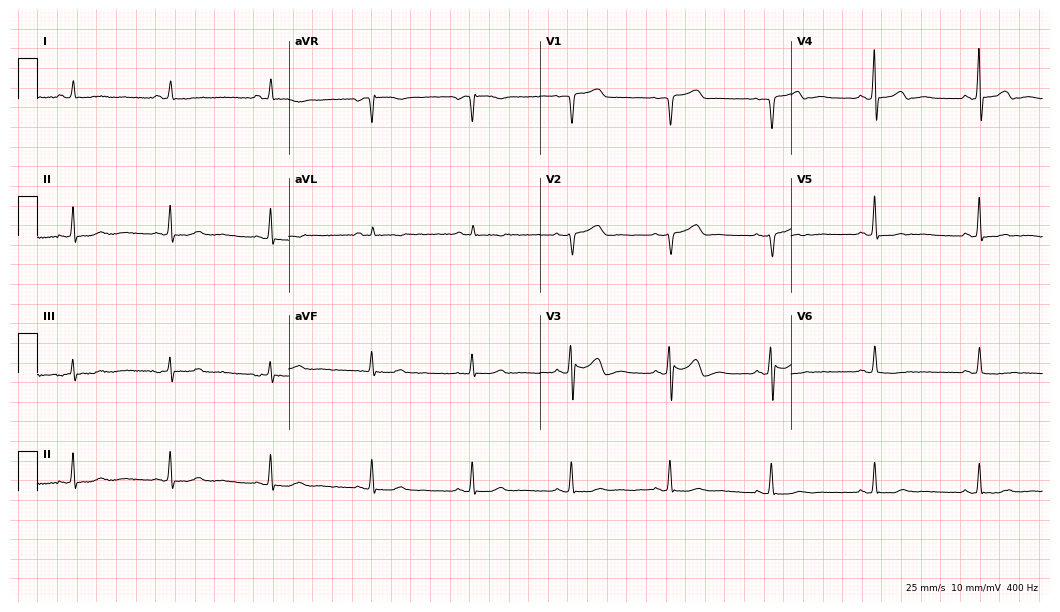
ECG (10.2-second recording at 400 Hz) — a female, 53 years old. Screened for six findings — first-degree AV block, right bundle branch block, left bundle branch block, sinus bradycardia, atrial fibrillation, sinus tachycardia — none is recorded. Other findings, if any, are not listed.